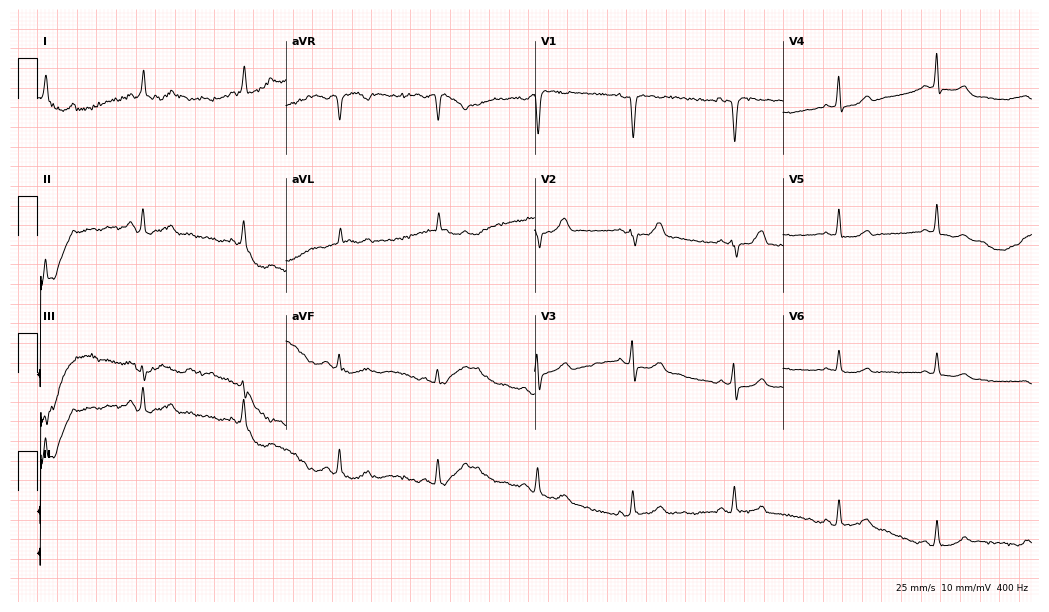
ECG (10.1-second recording at 400 Hz) — a 43-year-old woman. Screened for six findings — first-degree AV block, right bundle branch block (RBBB), left bundle branch block (LBBB), sinus bradycardia, atrial fibrillation (AF), sinus tachycardia — none is recorded. Findings outside these six are not listed.